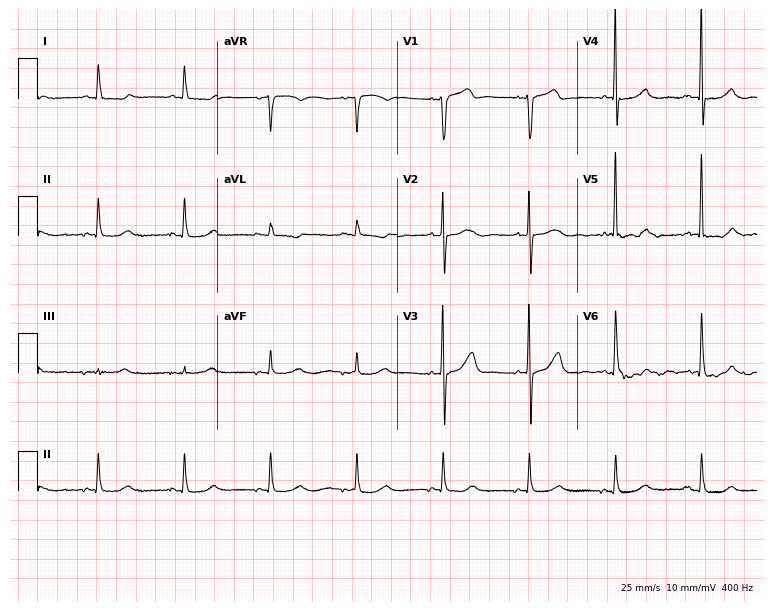
Electrocardiogram, a man, 76 years old. Overall reading on record: normal ECG.